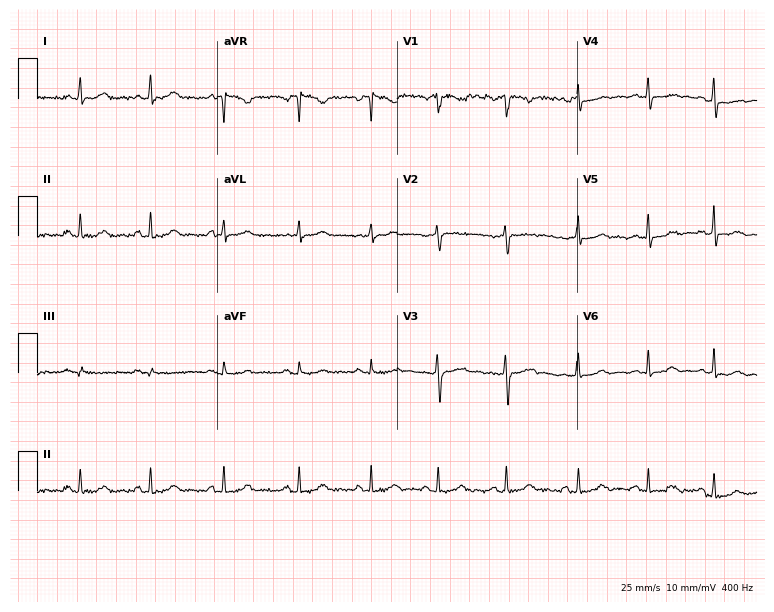
Electrocardiogram (7.3-second recording at 400 Hz), a woman, 39 years old. Of the six screened findings (first-degree AV block, right bundle branch block, left bundle branch block, sinus bradycardia, atrial fibrillation, sinus tachycardia), none is recorded. Only these six findings were labelled.